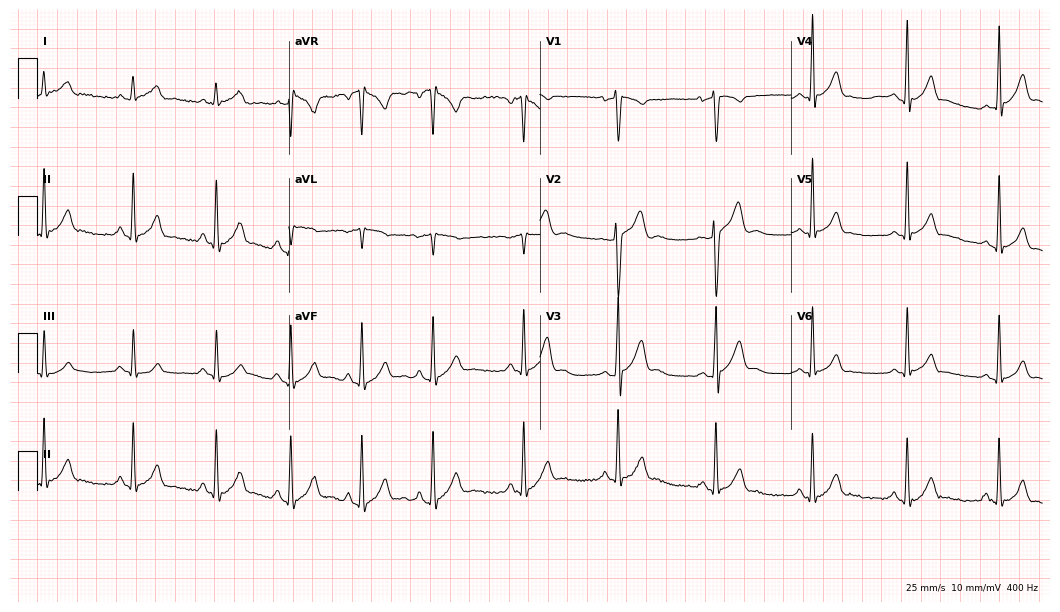
12-lead ECG from an 18-year-old male. Recorded interpretation: within normal limits.